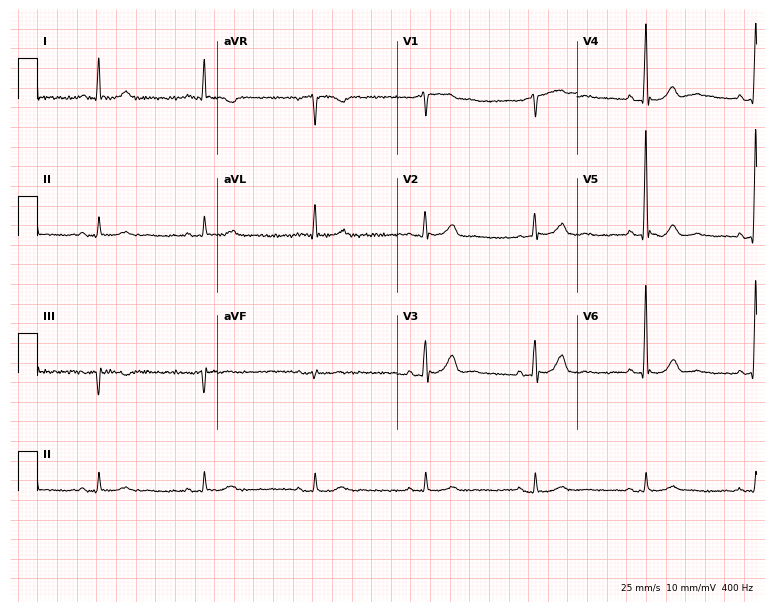
12-lead ECG from a man, 83 years old. Labelled as a normal ECG.